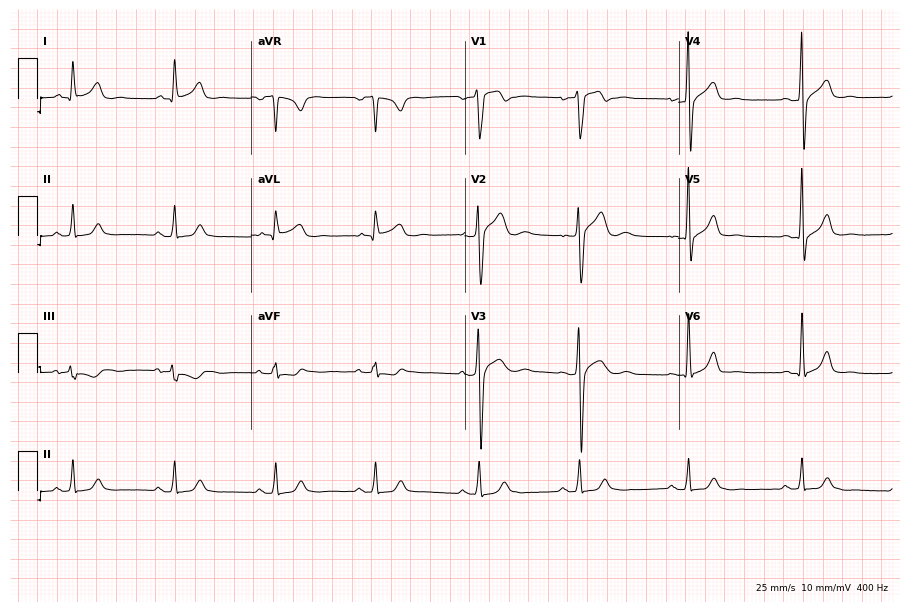
12-lead ECG from a male, 31 years old. Screened for six findings — first-degree AV block, right bundle branch block, left bundle branch block, sinus bradycardia, atrial fibrillation, sinus tachycardia — none is recorded.